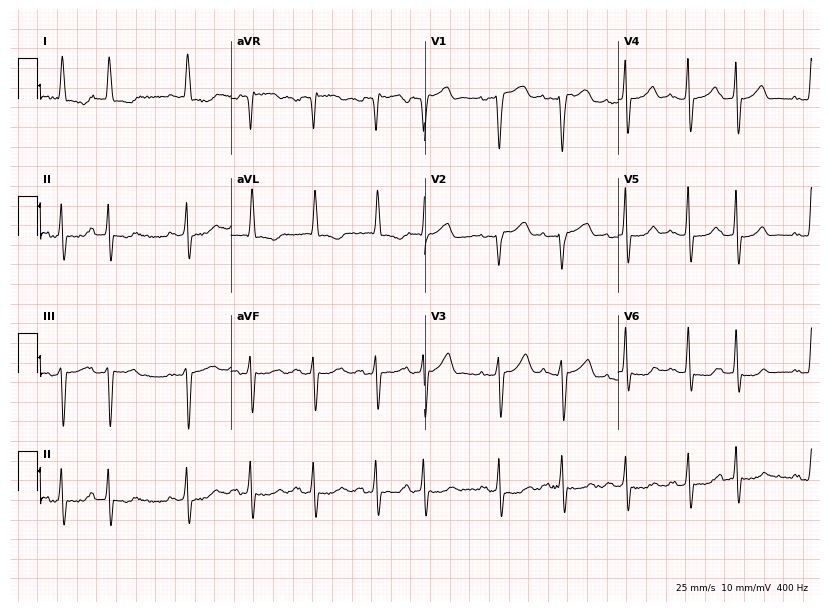
12-lead ECG from a 79-year-old woman. No first-degree AV block, right bundle branch block (RBBB), left bundle branch block (LBBB), sinus bradycardia, atrial fibrillation (AF) or sinus tachycardia recorded for this tracing. Other findings, if any, are not listed.